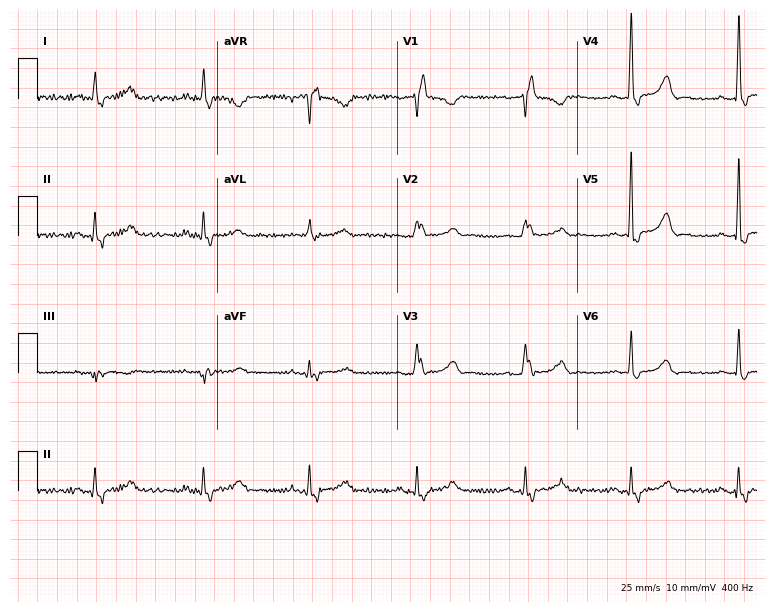
ECG (7.3-second recording at 400 Hz) — an 82-year-old woman. Screened for six findings — first-degree AV block, right bundle branch block, left bundle branch block, sinus bradycardia, atrial fibrillation, sinus tachycardia — none is recorded.